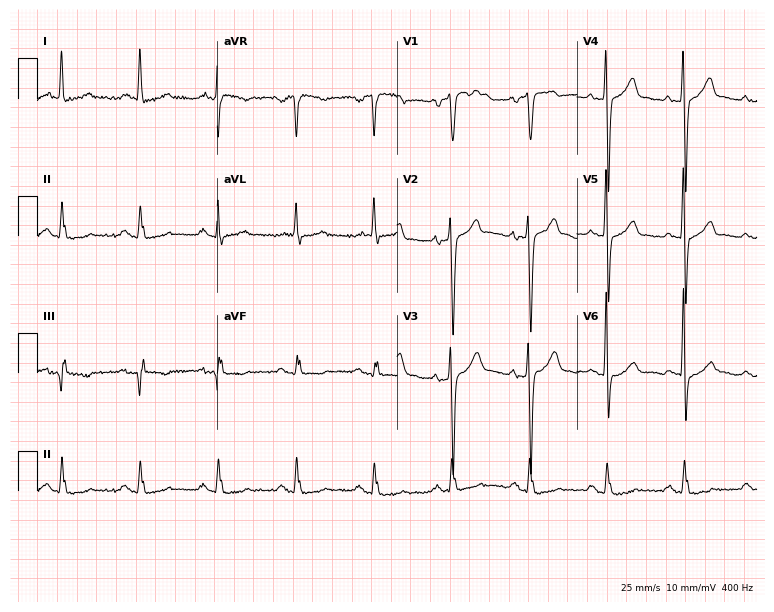
Standard 12-lead ECG recorded from a 69-year-old man (7.3-second recording at 400 Hz). None of these six findings is recorded: first-degree AV block, right bundle branch block, left bundle branch block, sinus bradycardia, atrial fibrillation, sinus tachycardia. Findings outside these six are not listed.